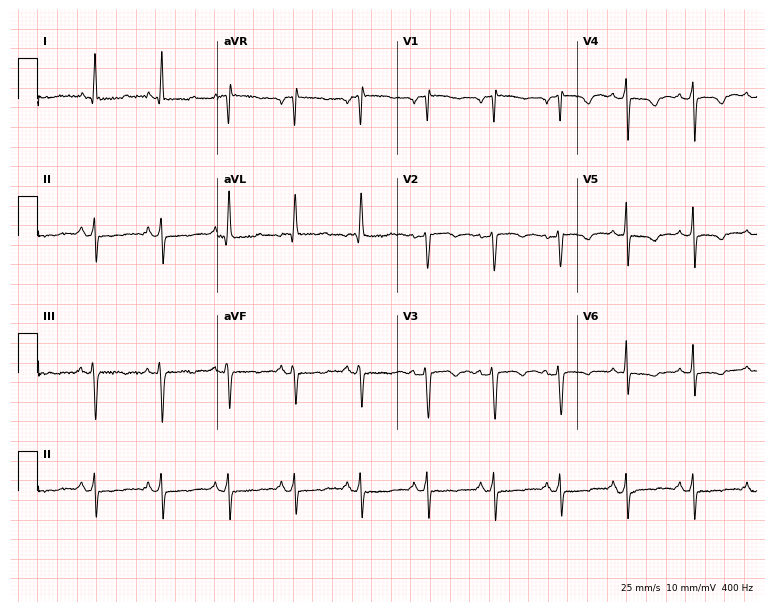
12-lead ECG from a 60-year-old female patient (7.3-second recording at 400 Hz). No first-degree AV block, right bundle branch block, left bundle branch block, sinus bradycardia, atrial fibrillation or sinus tachycardia recorded for this tracing.